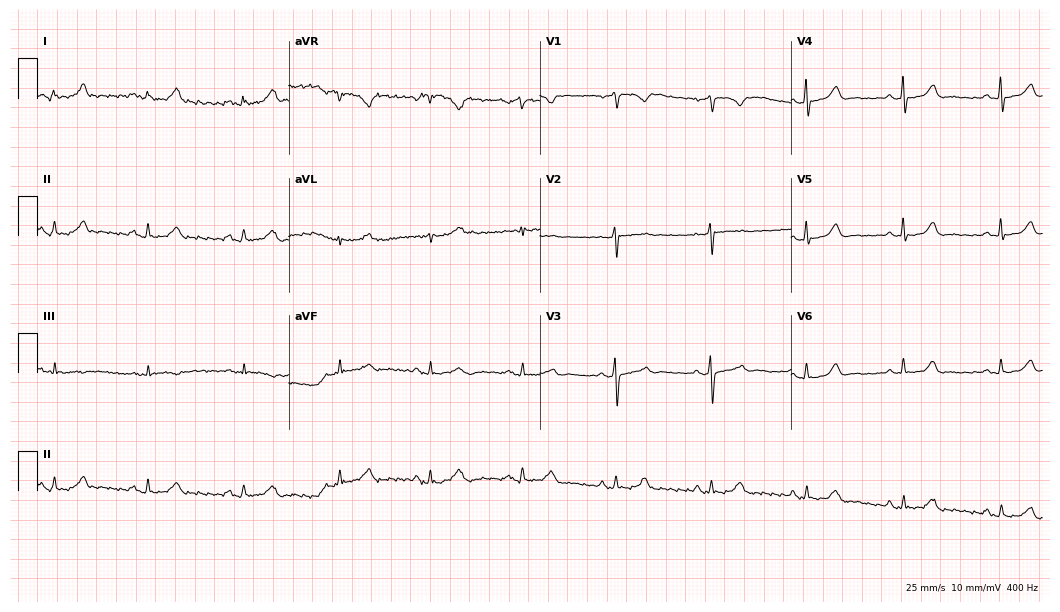
Electrocardiogram (10.2-second recording at 400 Hz), a woman, 52 years old. Overall reading on record: normal ECG.